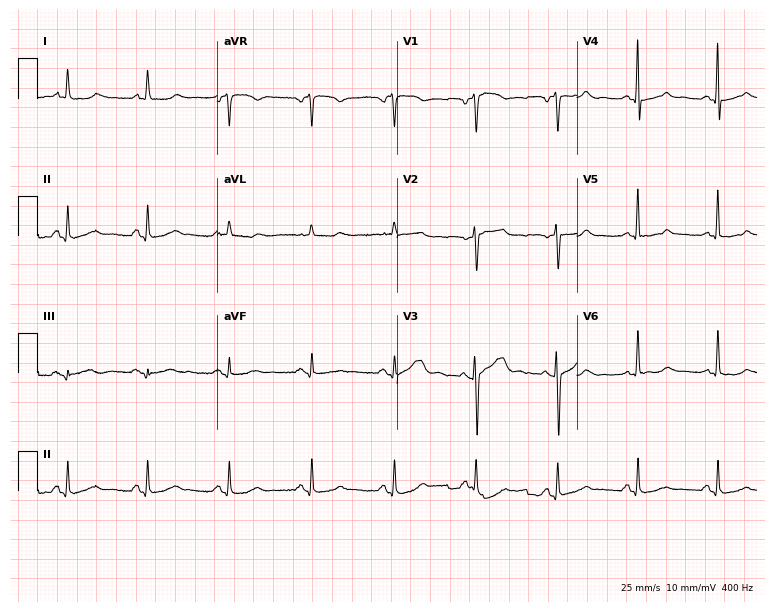
Resting 12-lead electrocardiogram. Patient: a 74-year-old female. None of these six findings is recorded: first-degree AV block, right bundle branch block, left bundle branch block, sinus bradycardia, atrial fibrillation, sinus tachycardia.